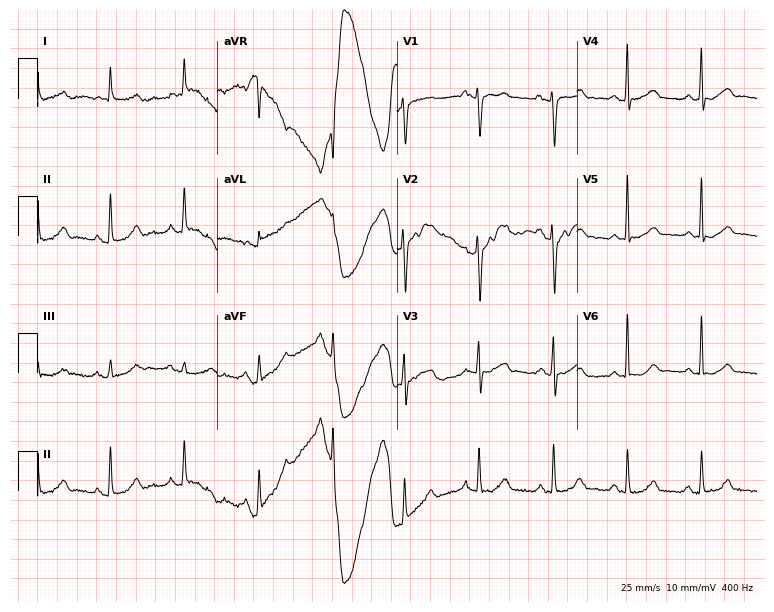
Standard 12-lead ECG recorded from an 81-year-old woman. Read as a normal ECG.